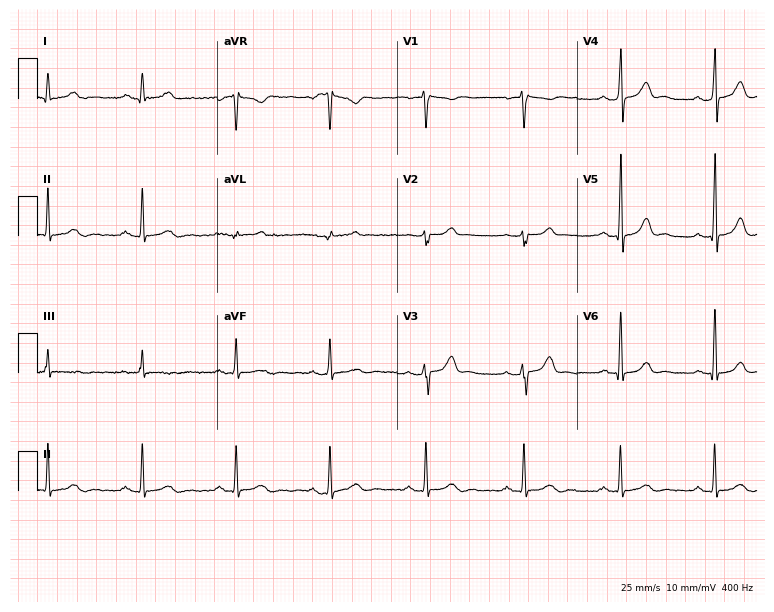
12-lead ECG (7.3-second recording at 400 Hz) from a 48-year-old male patient. Screened for six findings — first-degree AV block, right bundle branch block (RBBB), left bundle branch block (LBBB), sinus bradycardia, atrial fibrillation (AF), sinus tachycardia — none is recorded.